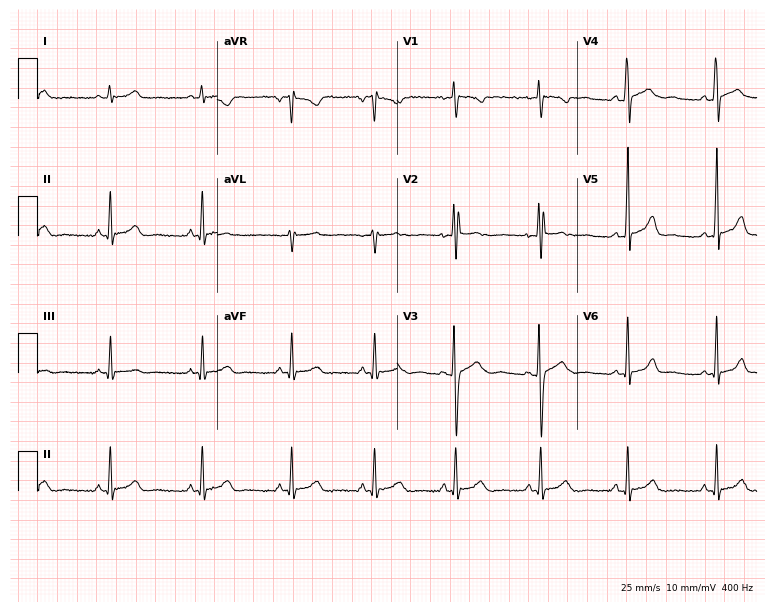
Electrocardiogram (7.3-second recording at 400 Hz), a 19-year-old female. Of the six screened findings (first-degree AV block, right bundle branch block, left bundle branch block, sinus bradycardia, atrial fibrillation, sinus tachycardia), none is recorded.